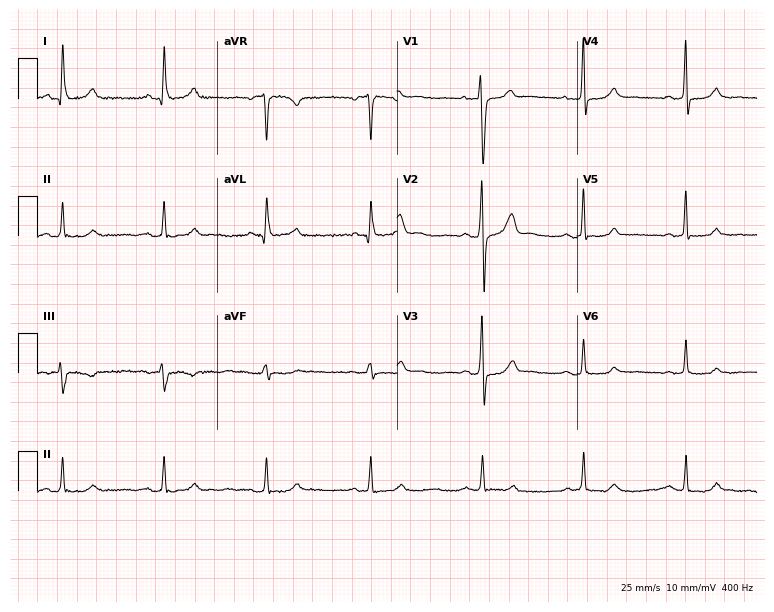
ECG (7.3-second recording at 400 Hz) — a male, 53 years old. Labelled as a normal ECG.